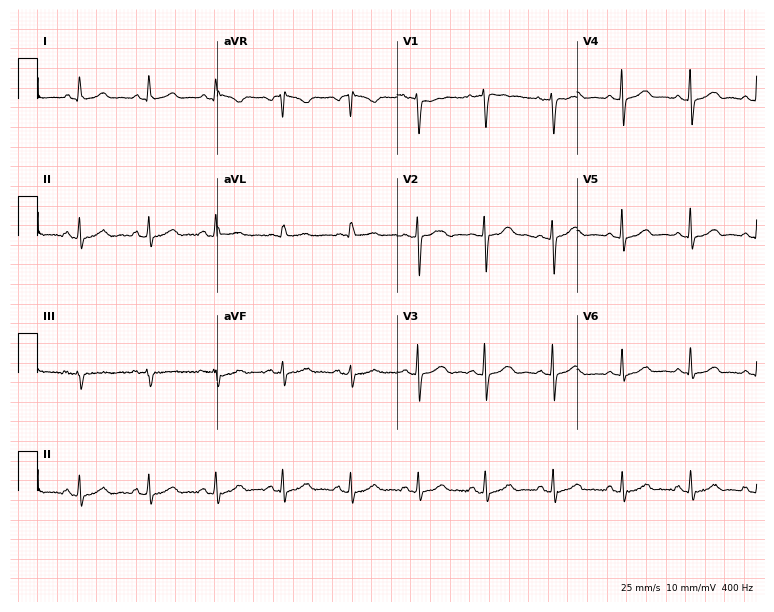
Standard 12-lead ECG recorded from a 49-year-old woman (7.3-second recording at 400 Hz). None of these six findings is recorded: first-degree AV block, right bundle branch block, left bundle branch block, sinus bradycardia, atrial fibrillation, sinus tachycardia.